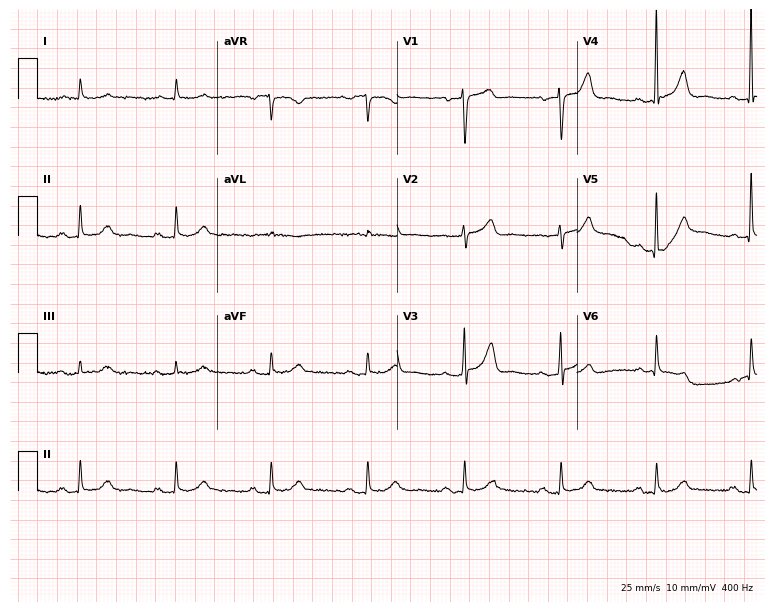
12-lead ECG from a 74-year-old man. Screened for six findings — first-degree AV block, right bundle branch block, left bundle branch block, sinus bradycardia, atrial fibrillation, sinus tachycardia — none is recorded. Other findings, if any, are not listed.